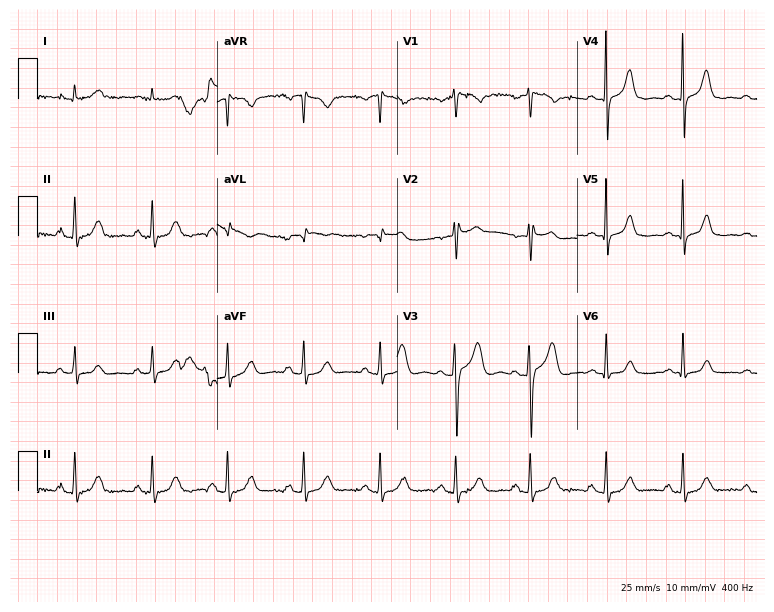
12-lead ECG from a 52-year-old male. Labelled as a normal ECG.